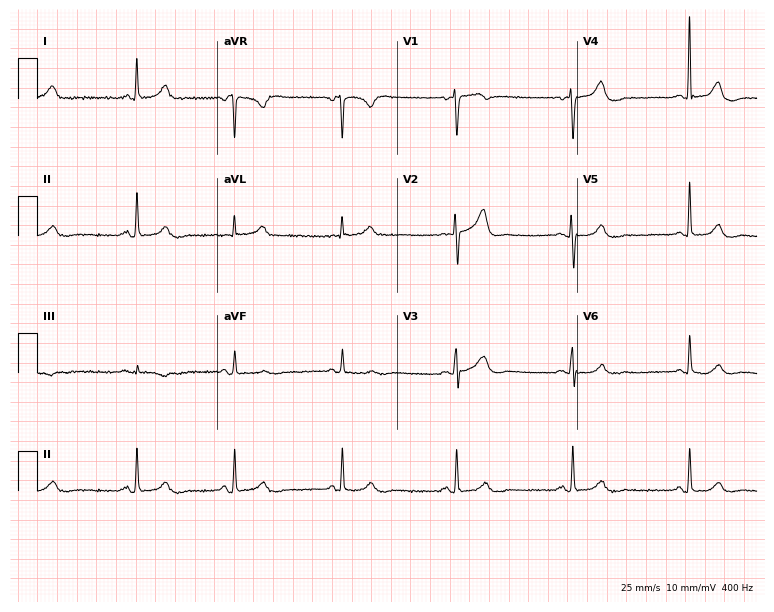
Resting 12-lead electrocardiogram. Patient: a female, 73 years old. None of these six findings is recorded: first-degree AV block, right bundle branch block, left bundle branch block, sinus bradycardia, atrial fibrillation, sinus tachycardia.